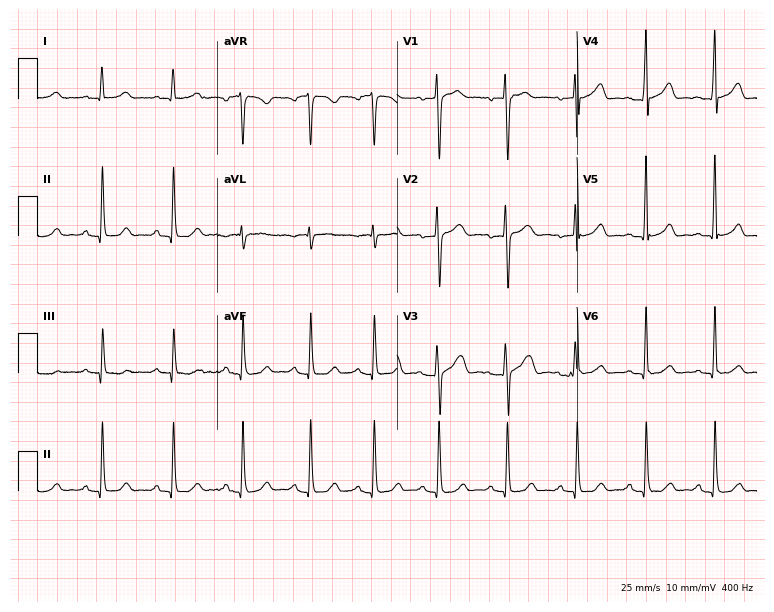
12-lead ECG from a 25-year-old female. Recorded interpretation: within normal limits.